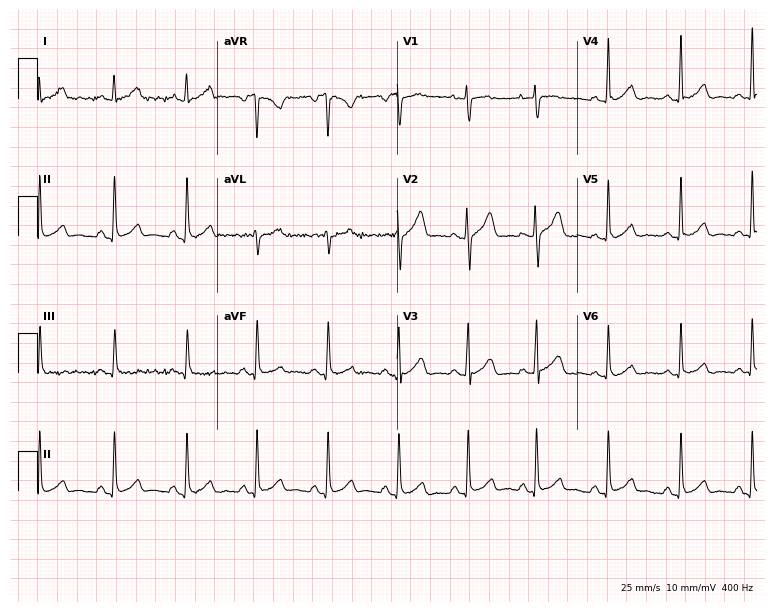
ECG — a 27-year-old female. Labelled as a normal ECG.